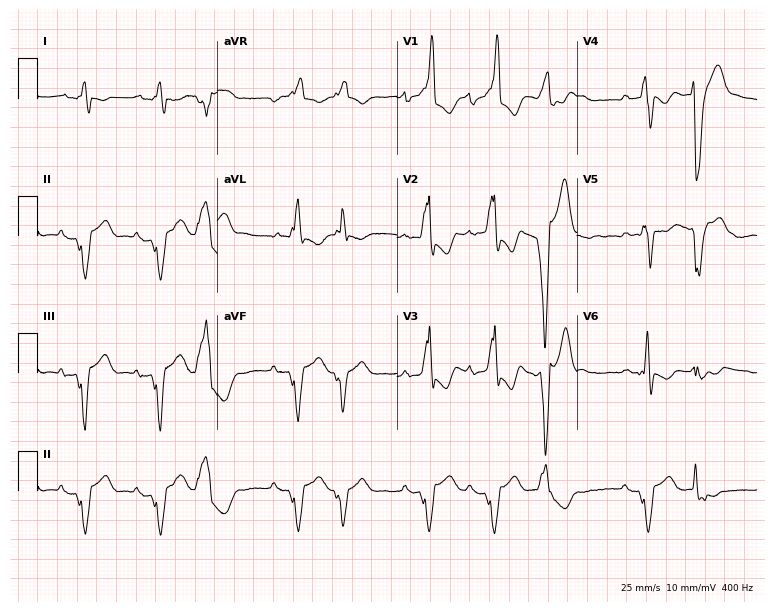
12-lead ECG from a 61-year-old male patient. Findings include right bundle branch block.